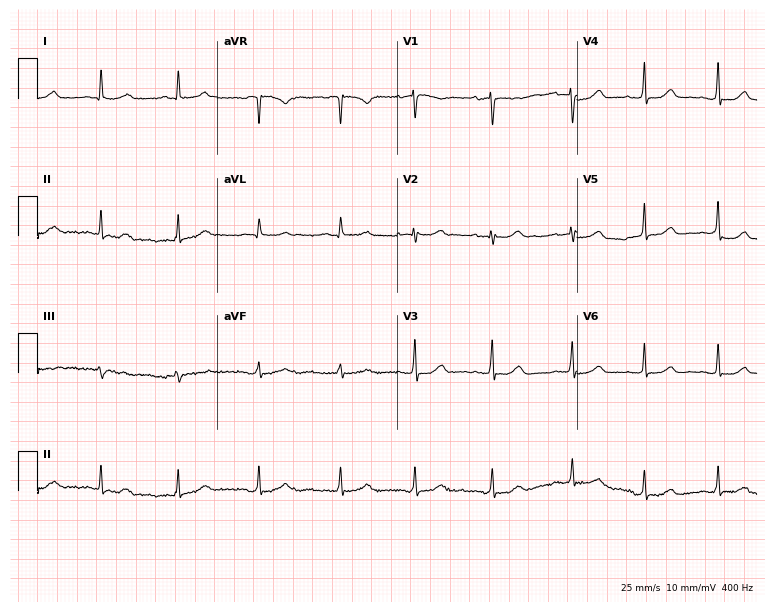
Resting 12-lead electrocardiogram (7.3-second recording at 400 Hz). Patient: a 61-year-old female. None of these six findings is recorded: first-degree AV block, right bundle branch block, left bundle branch block, sinus bradycardia, atrial fibrillation, sinus tachycardia. Findings outside these six are not listed.